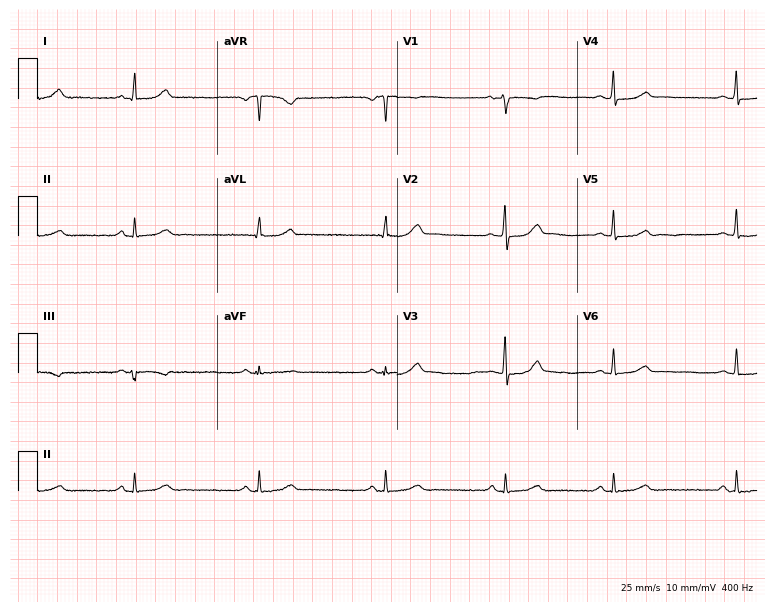
12-lead ECG (7.3-second recording at 400 Hz) from a 41-year-old female patient. Screened for six findings — first-degree AV block, right bundle branch block, left bundle branch block, sinus bradycardia, atrial fibrillation, sinus tachycardia — none is recorded. Other findings, if any, are not listed.